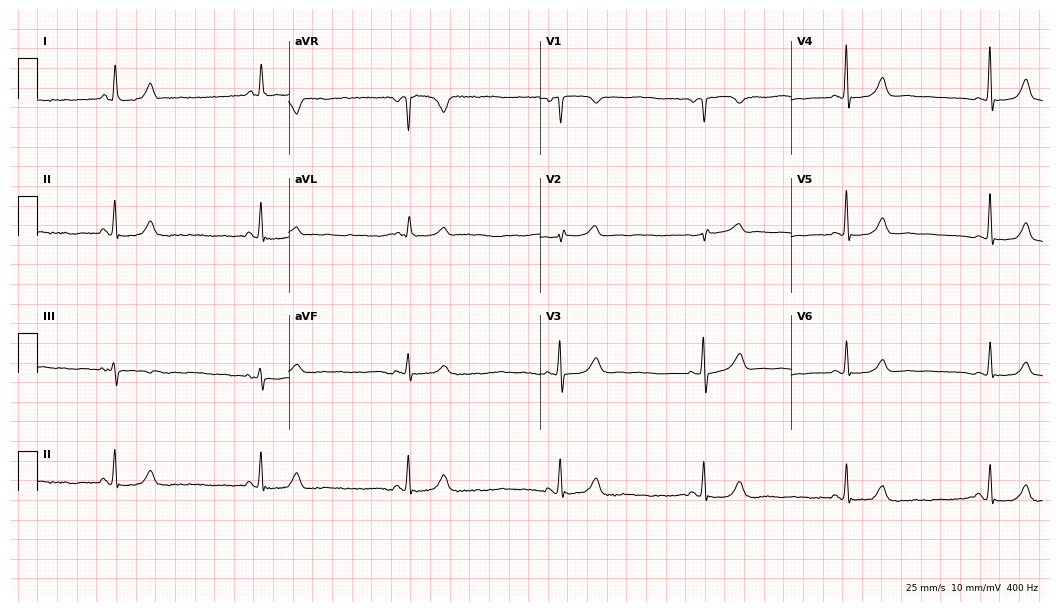
Electrocardiogram, a 76-year-old female patient. Of the six screened findings (first-degree AV block, right bundle branch block, left bundle branch block, sinus bradycardia, atrial fibrillation, sinus tachycardia), none is recorded.